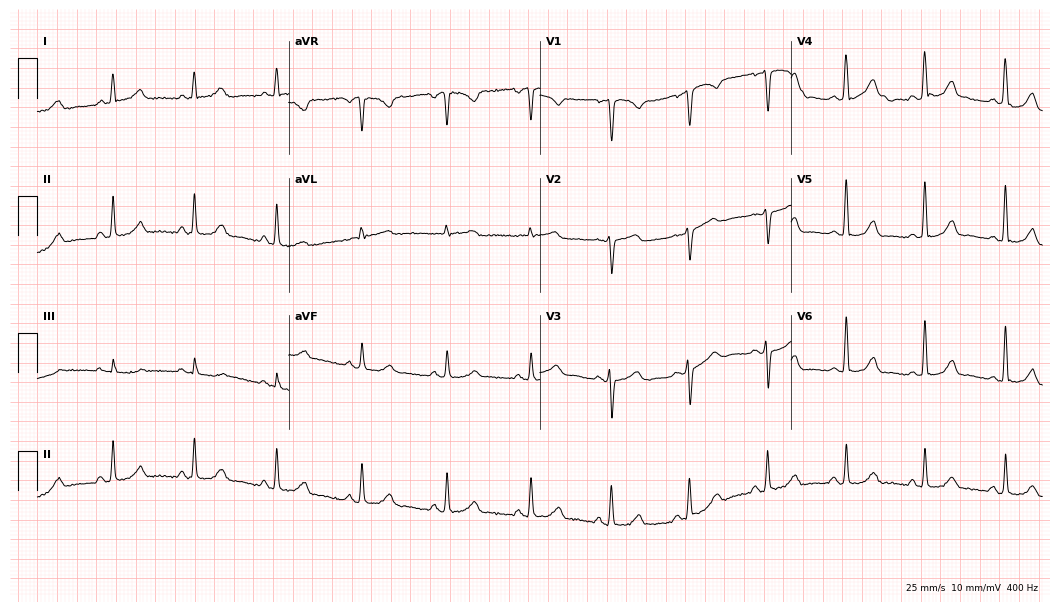
12-lead ECG from a woman, 47 years old. Labelled as a normal ECG.